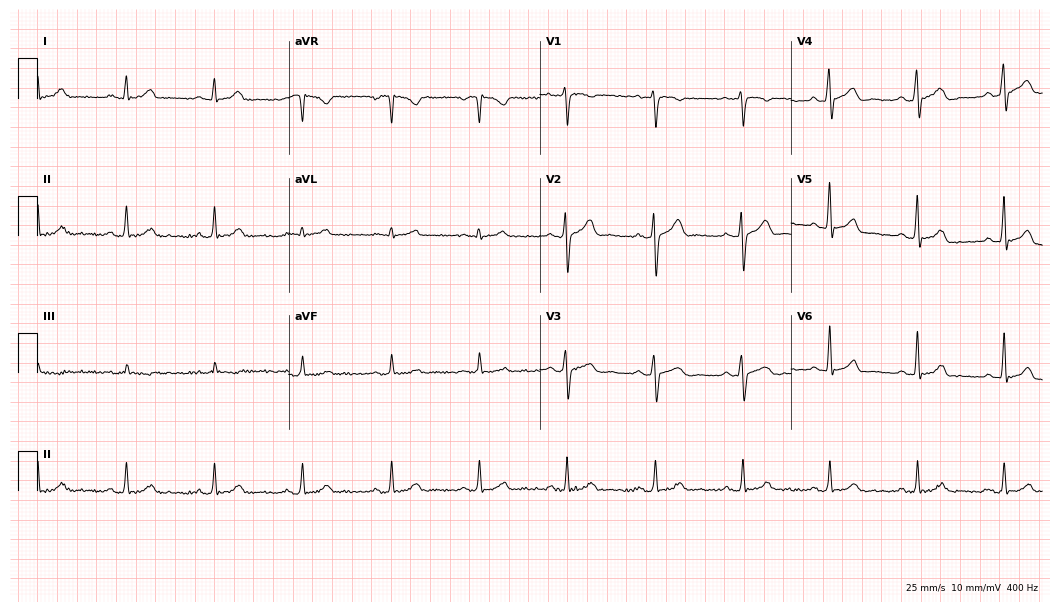
Standard 12-lead ECG recorded from a male, 39 years old (10.2-second recording at 400 Hz). Read as a normal ECG.